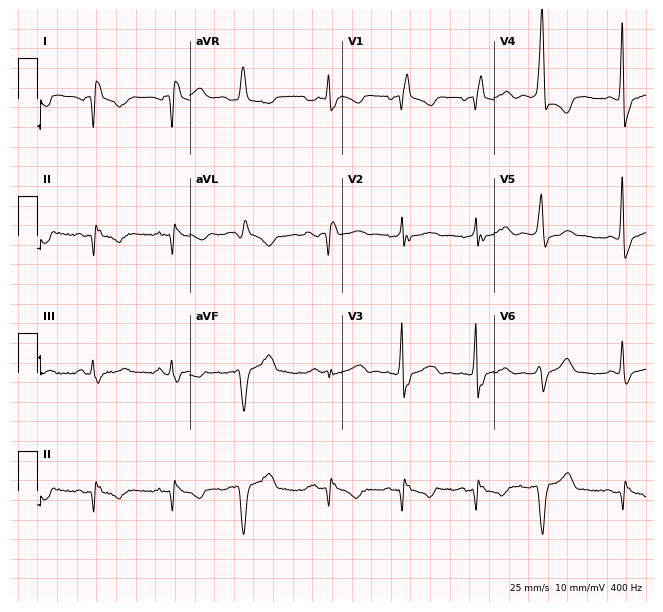
12-lead ECG from a 68-year-old male patient. No first-degree AV block, right bundle branch block, left bundle branch block, sinus bradycardia, atrial fibrillation or sinus tachycardia recorded for this tracing. Only these six findings were labelled.